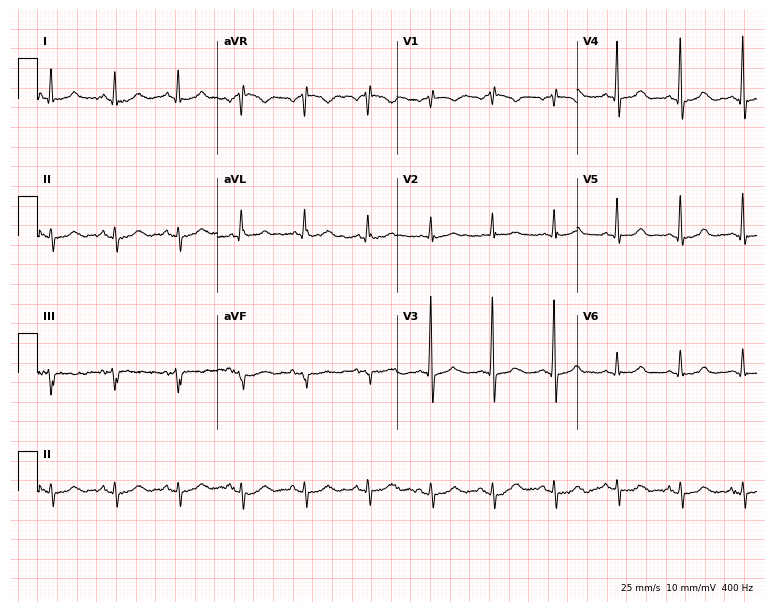
Standard 12-lead ECG recorded from a 73-year-old female patient. None of these six findings is recorded: first-degree AV block, right bundle branch block (RBBB), left bundle branch block (LBBB), sinus bradycardia, atrial fibrillation (AF), sinus tachycardia.